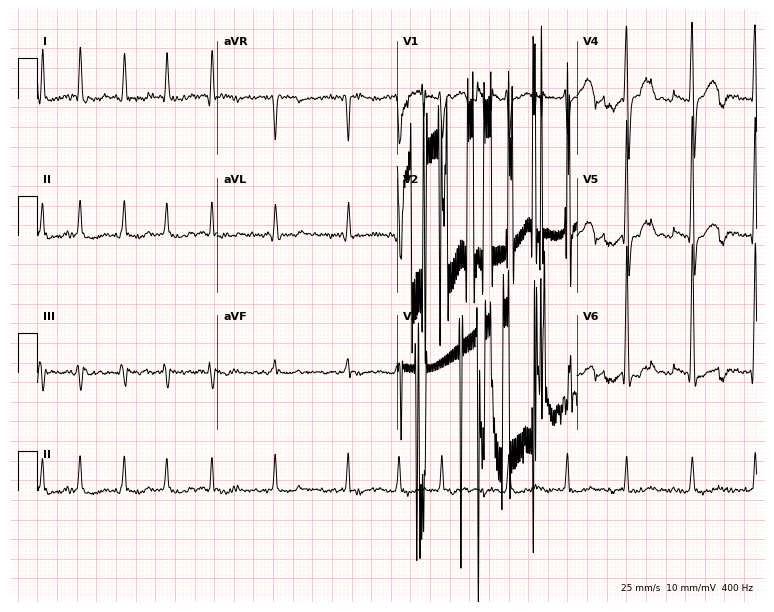
Standard 12-lead ECG recorded from a 60-year-old male (7.3-second recording at 400 Hz). None of these six findings is recorded: first-degree AV block, right bundle branch block (RBBB), left bundle branch block (LBBB), sinus bradycardia, atrial fibrillation (AF), sinus tachycardia.